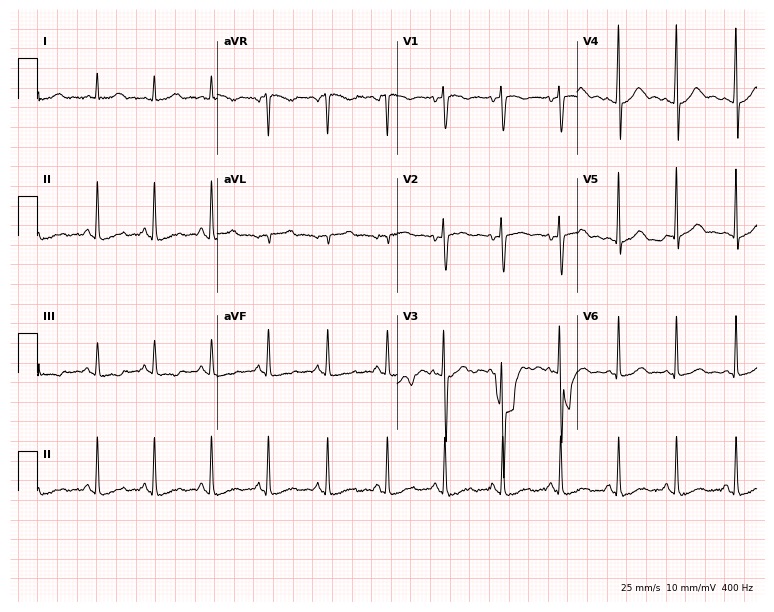
Standard 12-lead ECG recorded from a 17-year-old female patient. The tracing shows sinus tachycardia (a sinus rate of 100 beats per minute or more).